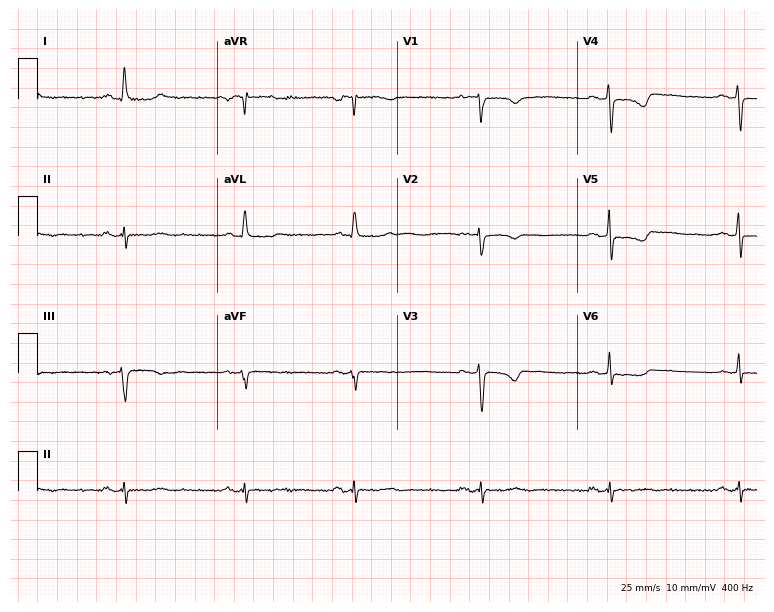
12-lead ECG (7.3-second recording at 400 Hz) from a female patient, 53 years old. Findings include sinus bradycardia (a sinus rate of 50 beats per minute or less).